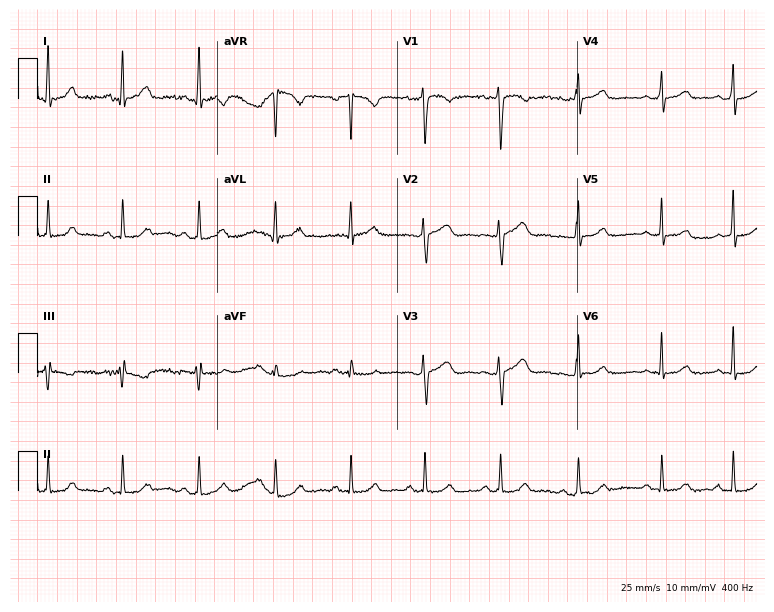
Resting 12-lead electrocardiogram. Patient: a woman, 42 years old. Read as a normal ECG.